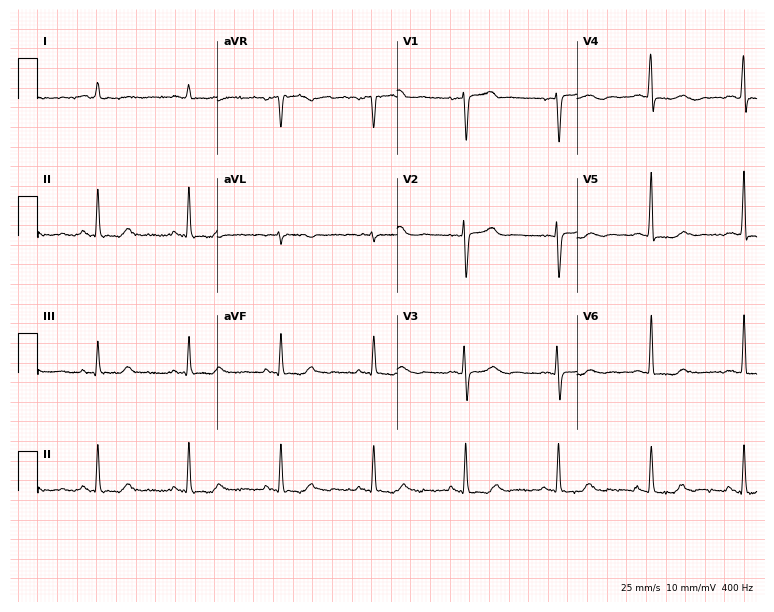
ECG — a 66-year-old woman. Screened for six findings — first-degree AV block, right bundle branch block (RBBB), left bundle branch block (LBBB), sinus bradycardia, atrial fibrillation (AF), sinus tachycardia — none is recorded.